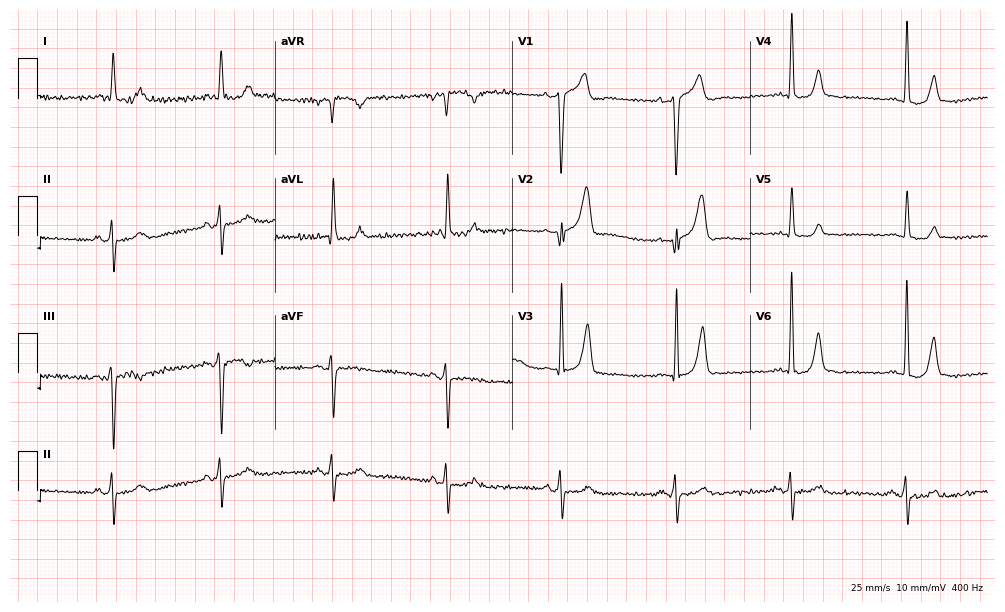
12-lead ECG from a male, 80 years old. Screened for six findings — first-degree AV block, right bundle branch block, left bundle branch block, sinus bradycardia, atrial fibrillation, sinus tachycardia — none is recorded.